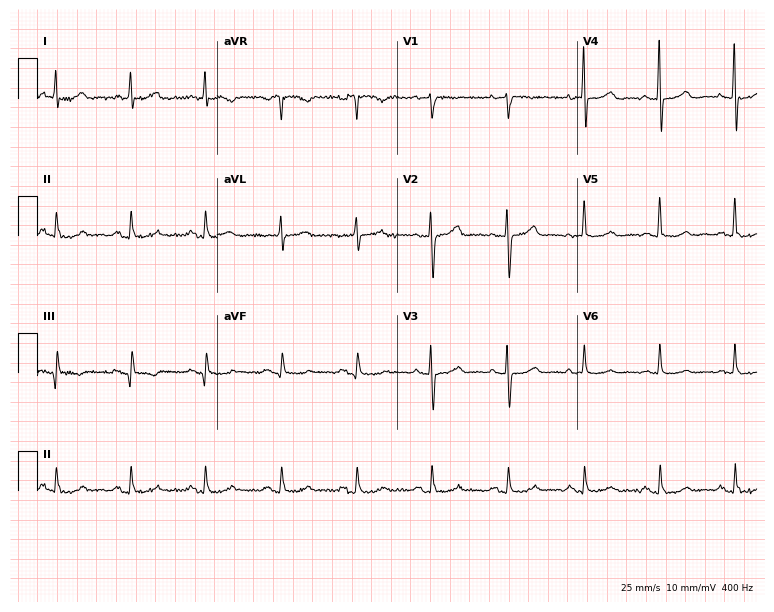
12-lead ECG from a 69-year-old female patient. Labelled as a normal ECG.